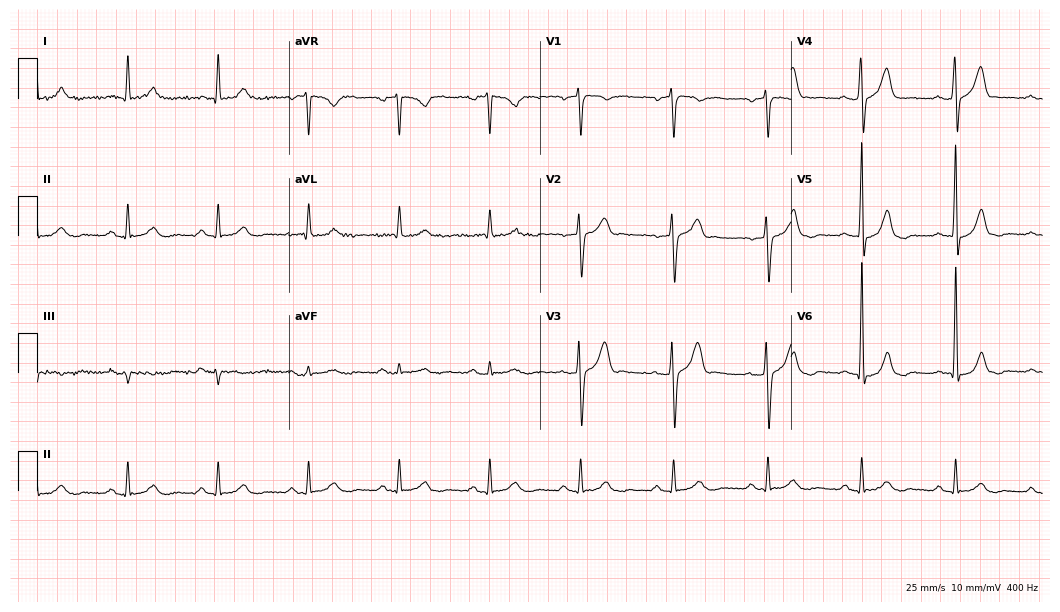
Electrocardiogram (10.2-second recording at 400 Hz), a male, 66 years old. Overall reading on record: normal ECG.